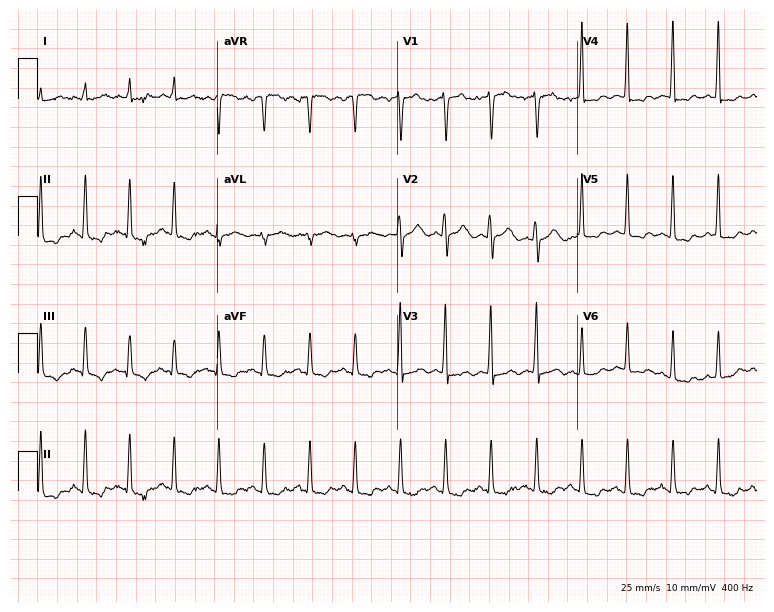
Standard 12-lead ECG recorded from a woman, 47 years old (7.3-second recording at 400 Hz). None of these six findings is recorded: first-degree AV block, right bundle branch block, left bundle branch block, sinus bradycardia, atrial fibrillation, sinus tachycardia. Findings outside these six are not listed.